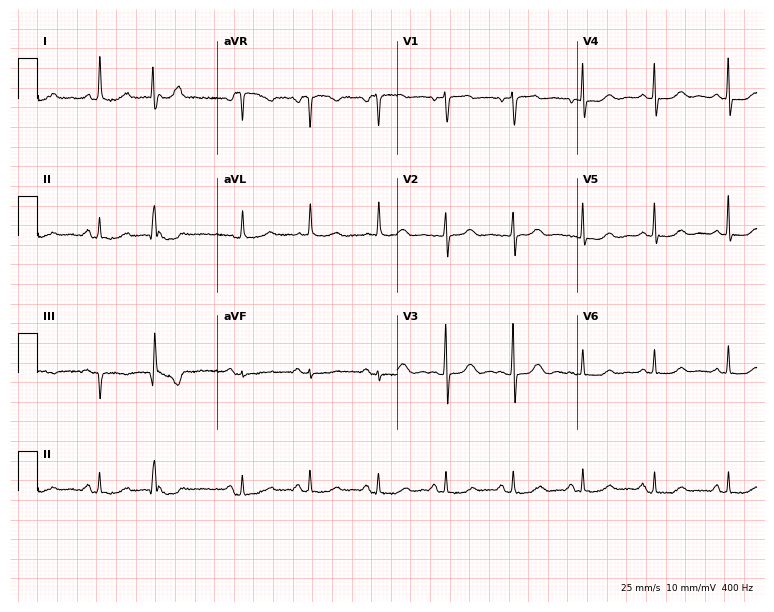
Resting 12-lead electrocardiogram. Patient: an 80-year-old female. None of these six findings is recorded: first-degree AV block, right bundle branch block, left bundle branch block, sinus bradycardia, atrial fibrillation, sinus tachycardia. Other findings, if any, are not listed.